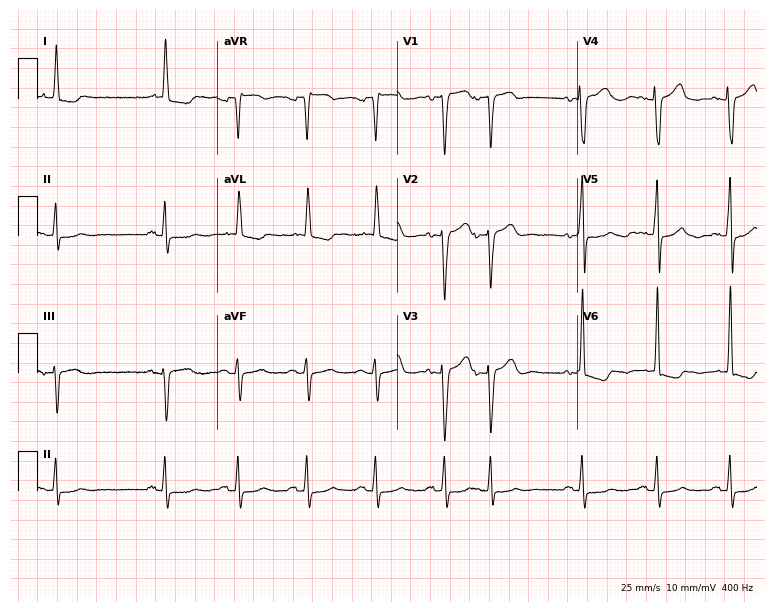
Resting 12-lead electrocardiogram. Patient: a female, 79 years old. None of these six findings is recorded: first-degree AV block, right bundle branch block, left bundle branch block, sinus bradycardia, atrial fibrillation, sinus tachycardia. Only these six findings were labelled.